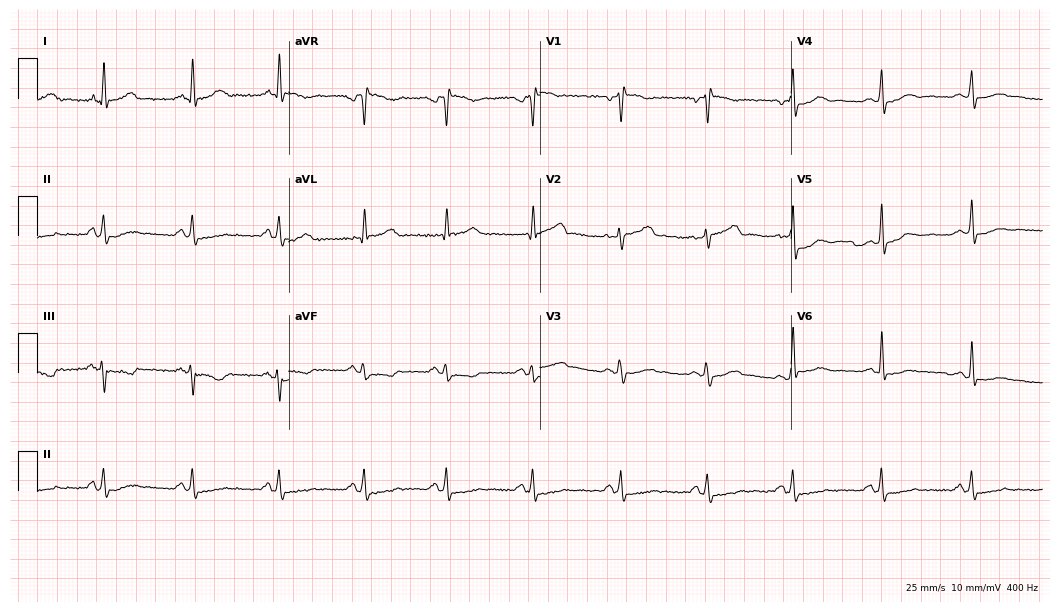
ECG (10.2-second recording at 400 Hz) — a 38-year-old female. Screened for six findings — first-degree AV block, right bundle branch block, left bundle branch block, sinus bradycardia, atrial fibrillation, sinus tachycardia — none is recorded.